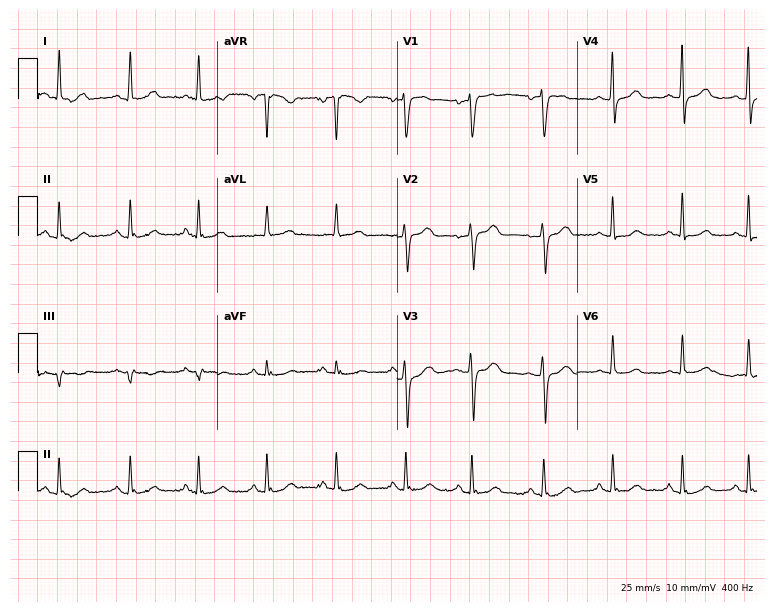
Electrocardiogram, a female patient, 56 years old. Overall reading on record: normal ECG.